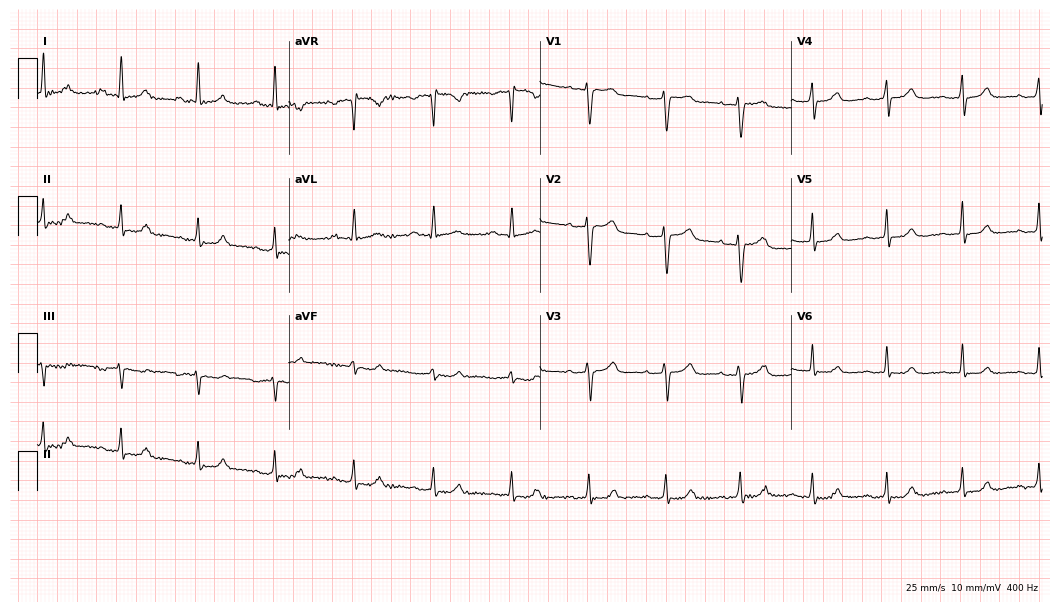
Standard 12-lead ECG recorded from a 63-year-old female patient (10.2-second recording at 400 Hz). Read as a normal ECG.